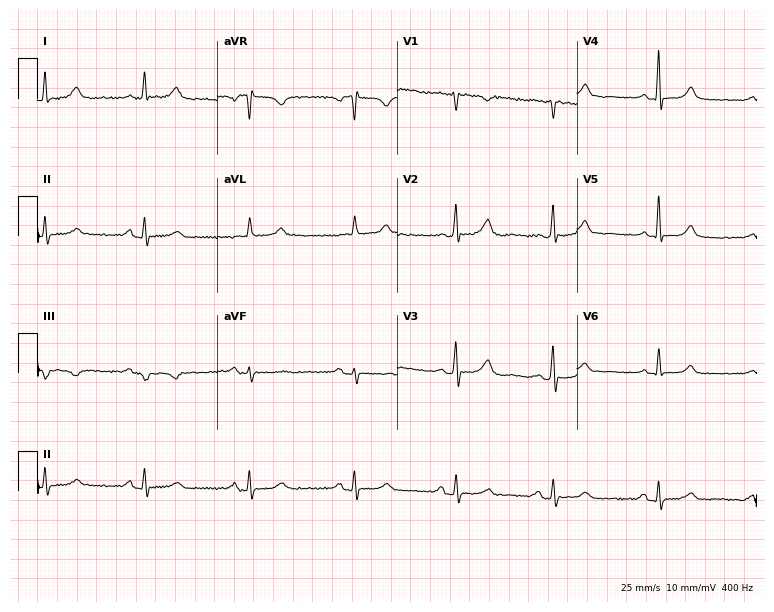
Electrocardiogram, a 72-year-old woman. Of the six screened findings (first-degree AV block, right bundle branch block, left bundle branch block, sinus bradycardia, atrial fibrillation, sinus tachycardia), none is recorded. Findings outside these six are not listed.